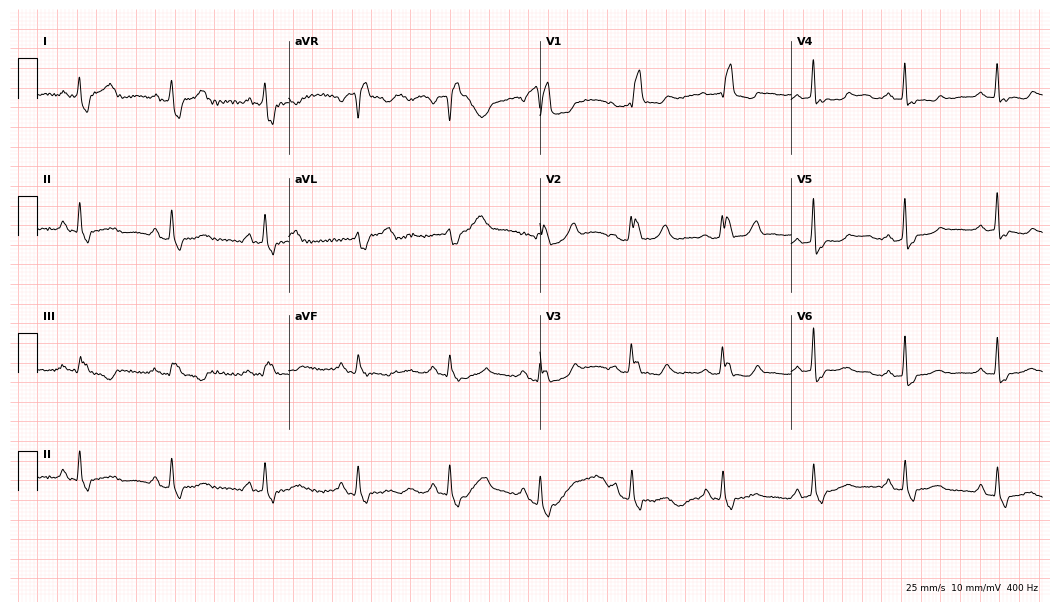
Resting 12-lead electrocardiogram (10.2-second recording at 400 Hz). Patient: a female, 71 years old. The tracing shows right bundle branch block.